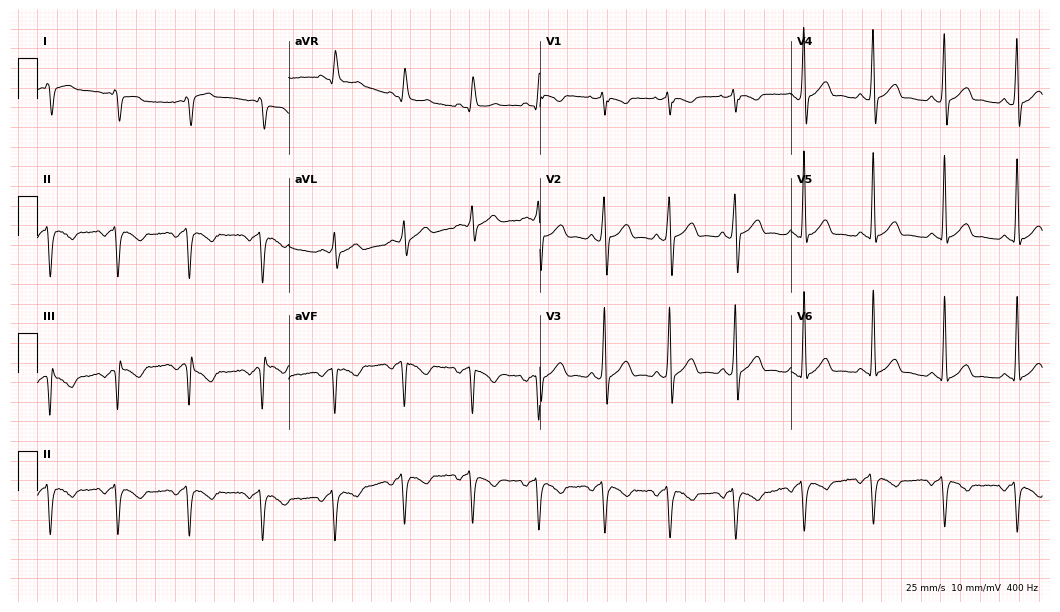
12-lead ECG from a 44-year-old male patient. No first-degree AV block, right bundle branch block, left bundle branch block, sinus bradycardia, atrial fibrillation or sinus tachycardia recorded for this tracing.